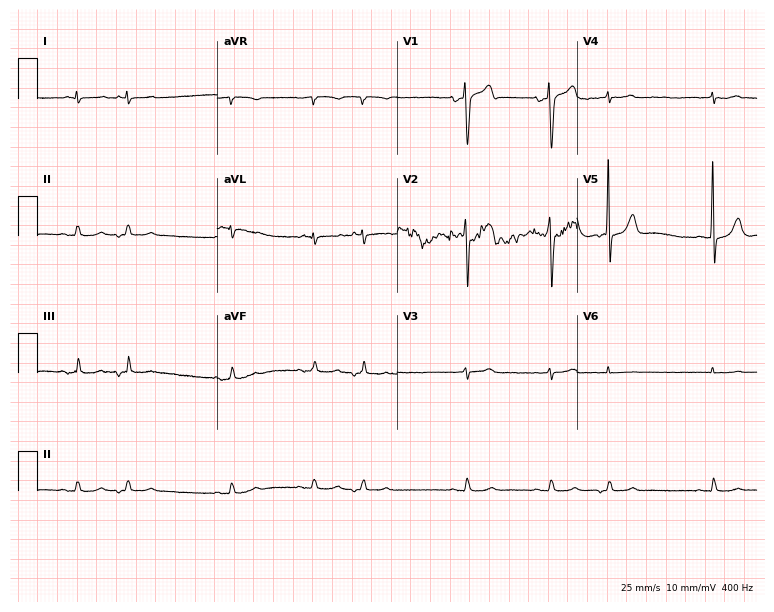
12-lead ECG (7.3-second recording at 400 Hz) from a 77-year-old man. Screened for six findings — first-degree AV block, right bundle branch block, left bundle branch block, sinus bradycardia, atrial fibrillation, sinus tachycardia — none is recorded.